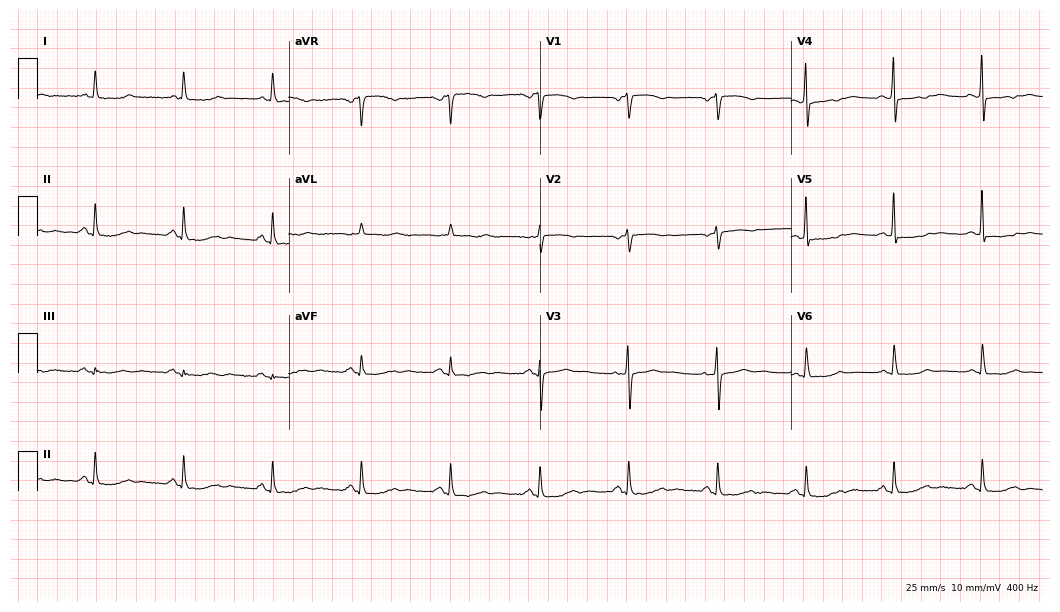
Resting 12-lead electrocardiogram. Patient: a female, 79 years old. None of these six findings is recorded: first-degree AV block, right bundle branch block, left bundle branch block, sinus bradycardia, atrial fibrillation, sinus tachycardia. Findings outside these six are not listed.